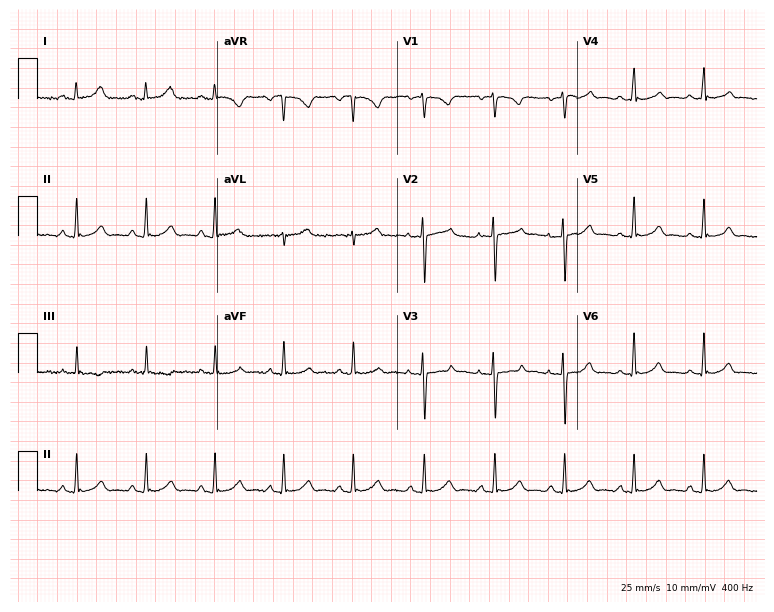
Electrocardiogram (7.3-second recording at 400 Hz), a female patient, 29 years old. Overall reading on record: normal ECG.